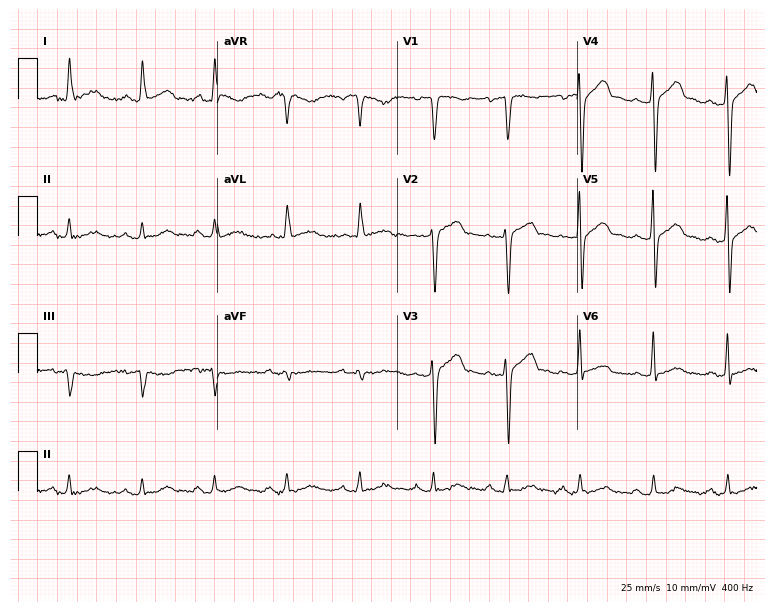
Electrocardiogram (7.3-second recording at 400 Hz), a female, 61 years old. Of the six screened findings (first-degree AV block, right bundle branch block (RBBB), left bundle branch block (LBBB), sinus bradycardia, atrial fibrillation (AF), sinus tachycardia), none is recorded. Only these six findings were labelled.